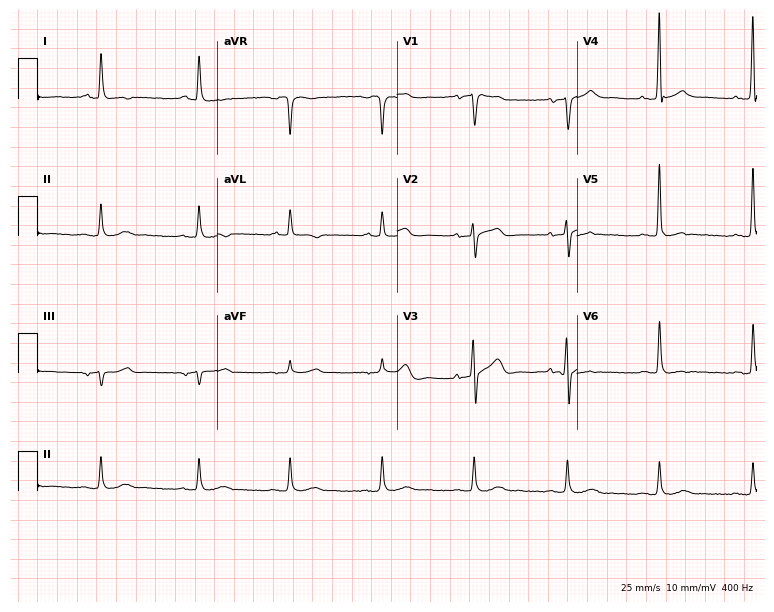
ECG — a 74-year-old male patient. Screened for six findings — first-degree AV block, right bundle branch block (RBBB), left bundle branch block (LBBB), sinus bradycardia, atrial fibrillation (AF), sinus tachycardia — none is recorded.